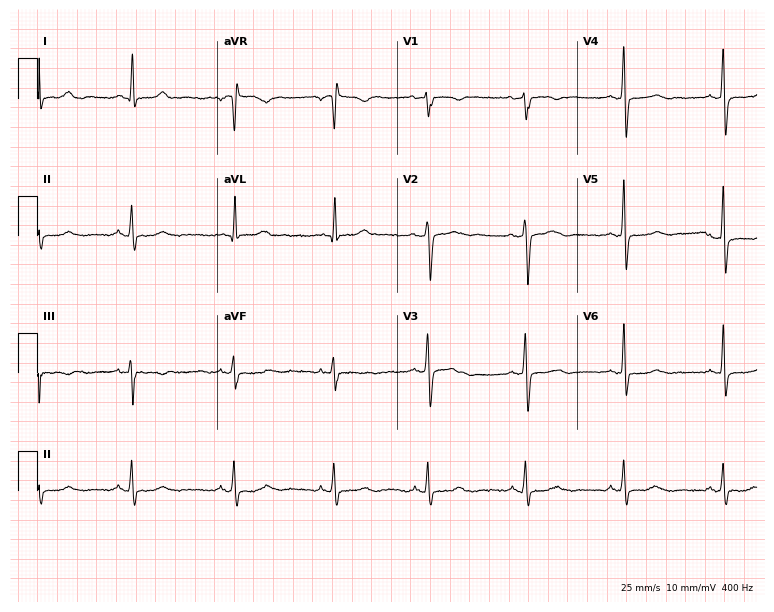
ECG (7.3-second recording at 400 Hz) — a 46-year-old woman. Labelled as a normal ECG.